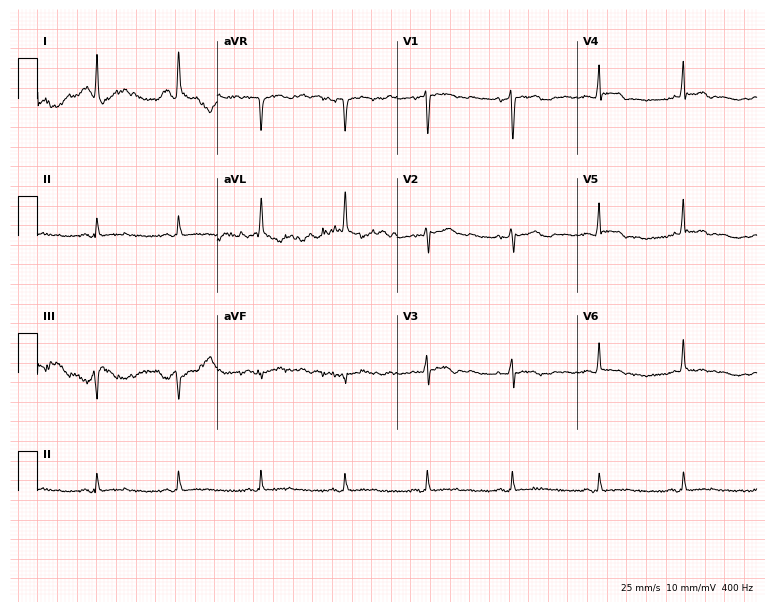
Resting 12-lead electrocardiogram. Patient: a 52-year-old female. None of these six findings is recorded: first-degree AV block, right bundle branch block, left bundle branch block, sinus bradycardia, atrial fibrillation, sinus tachycardia. Only these six findings were labelled.